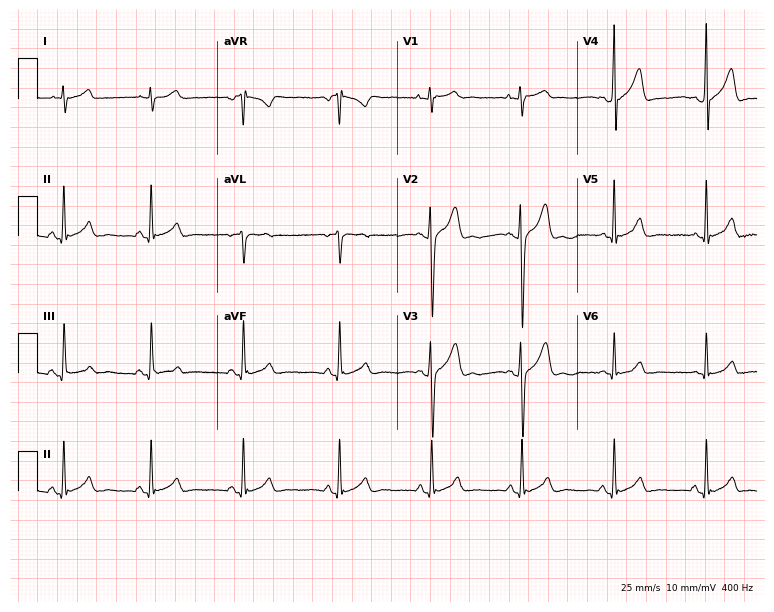
12-lead ECG from a male patient, 17 years old. Labelled as a normal ECG.